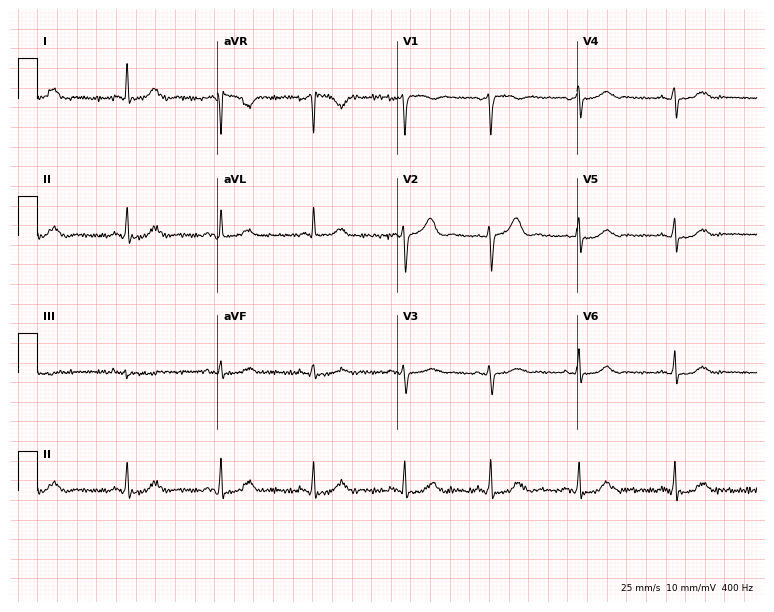
12-lead ECG from a female, 41 years old. No first-degree AV block, right bundle branch block, left bundle branch block, sinus bradycardia, atrial fibrillation or sinus tachycardia recorded for this tracing. Other findings, if any, are not listed.